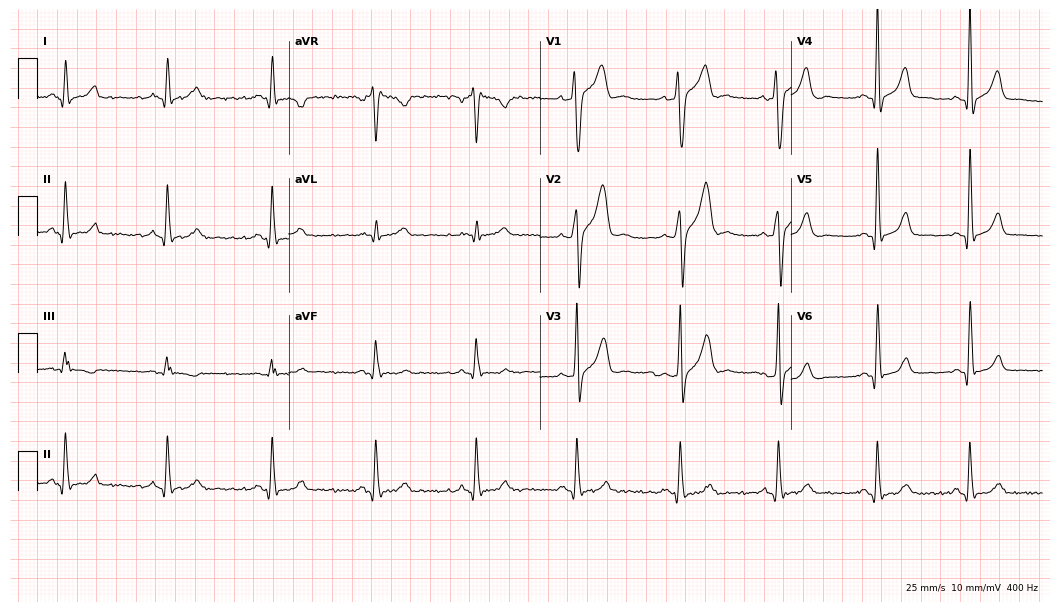
Electrocardiogram, a 39-year-old man. Of the six screened findings (first-degree AV block, right bundle branch block, left bundle branch block, sinus bradycardia, atrial fibrillation, sinus tachycardia), none is recorded. Findings outside these six are not listed.